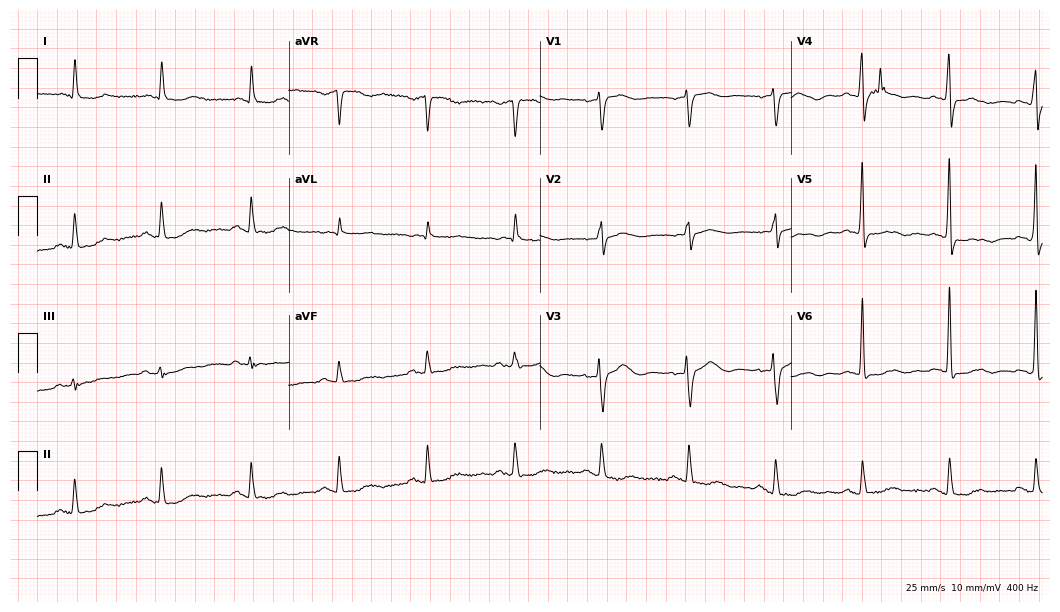
Resting 12-lead electrocardiogram. Patient: a female, 80 years old. None of these six findings is recorded: first-degree AV block, right bundle branch block, left bundle branch block, sinus bradycardia, atrial fibrillation, sinus tachycardia. Findings outside these six are not listed.